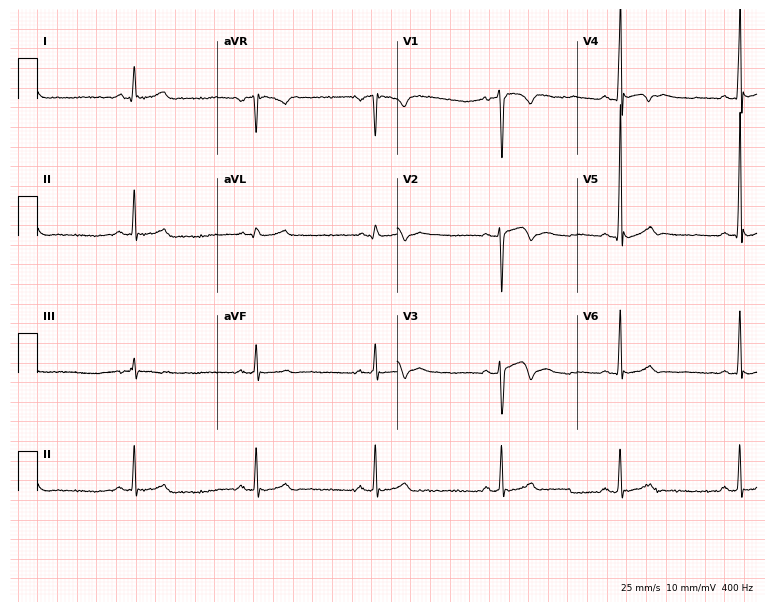
ECG — a 25-year-old male. Screened for six findings — first-degree AV block, right bundle branch block, left bundle branch block, sinus bradycardia, atrial fibrillation, sinus tachycardia — none is recorded. Only these six findings were labelled.